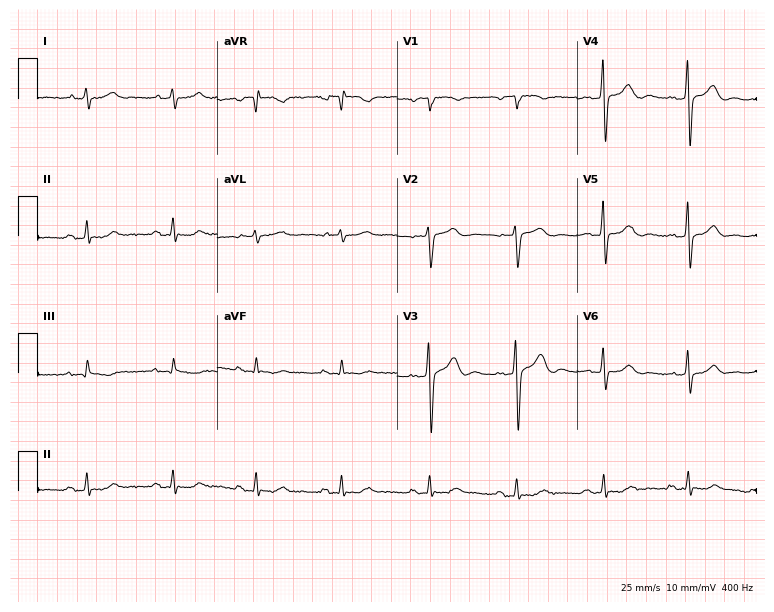
Resting 12-lead electrocardiogram. Patient: a male, 79 years old. None of these six findings is recorded: first-degree AV block, right bundle branch block, left bundle branch block, sinus bradycardia, atrial fibrillation, sinus tachycardia. Findings outside these six are not listed.